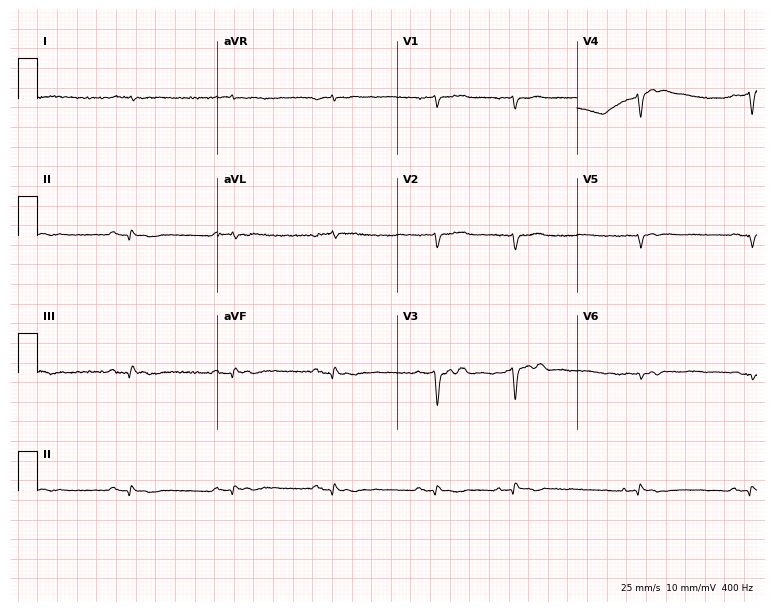
12-lead ECG (7.3-second recording at 400 Hz) from a male, 82 years old. Screened for six findings — first-degree AV block, right bundle branch block, left bundle branch block, sinus bradycardia, atrial fibrillation, sinus tachycardia — none is recorded.